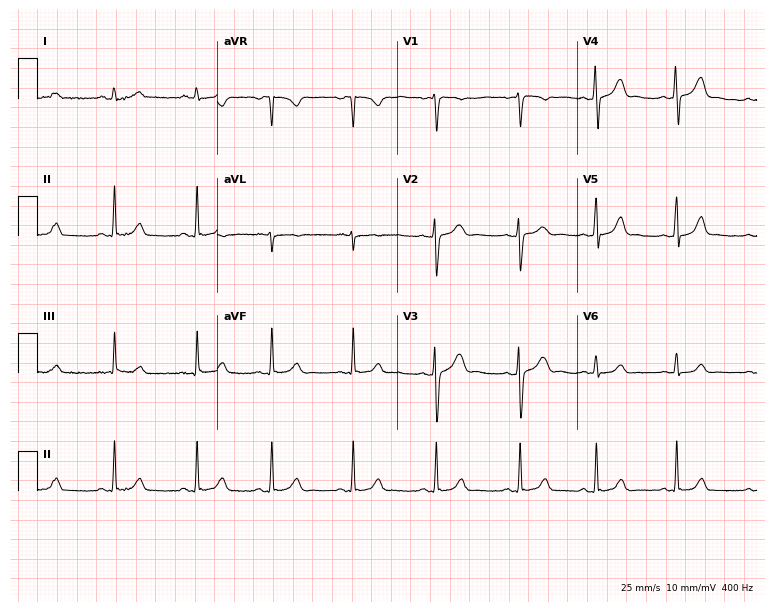
Resting 12-lead electrocardiogram (7.3-second recording at 400 Hz). Patient: a 25-year-old female. Read as a normal ECG.